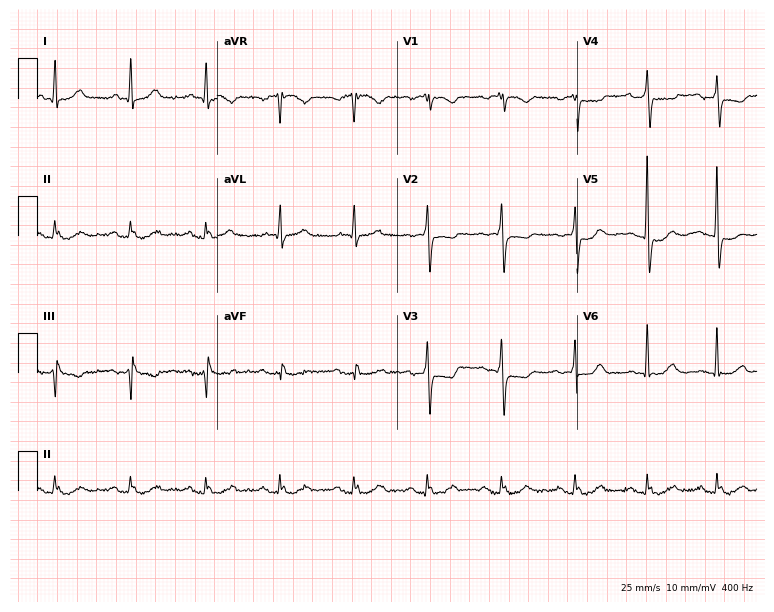
Electrocardiogram (7.3-second recording at 400 Hz), a woman, 84 years old. Overall reading on record: normal ECG.